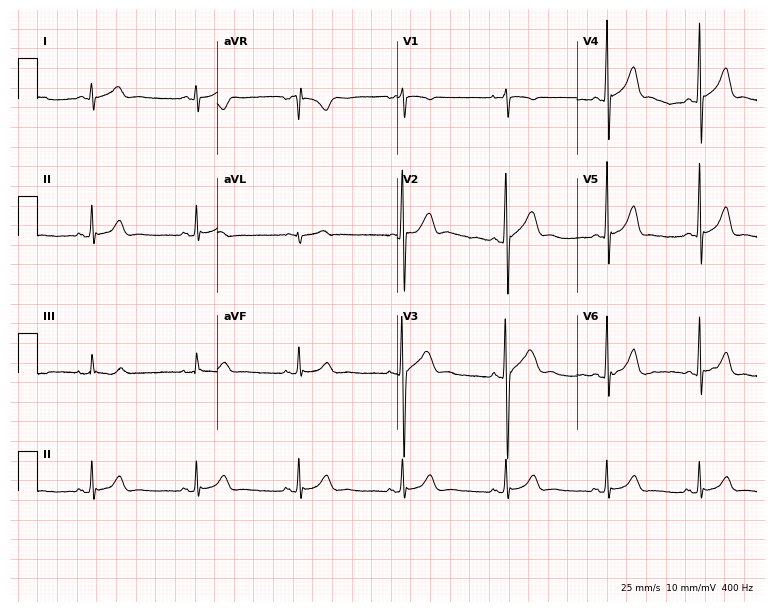
12-lead ECG from a male, 17 years old. Labelled as a normal ECG.